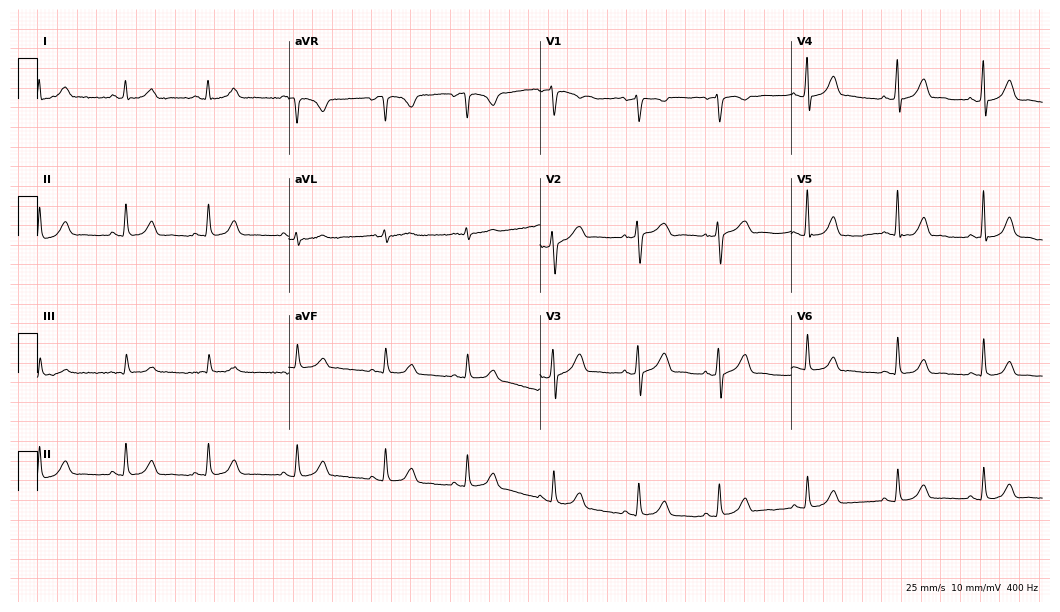
ECG (10.2-second recording at 400 Hz) — a 32-year-old female. Labelled as a normal ECG.